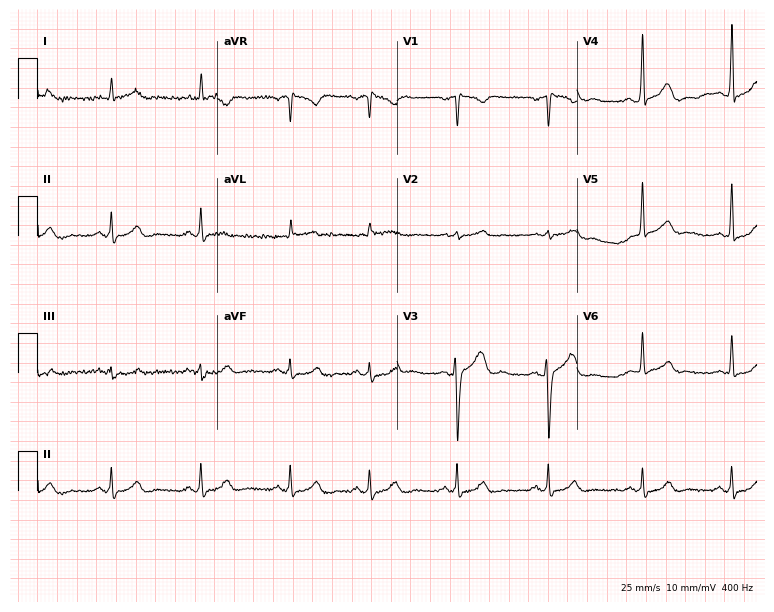
ECG (7.3-second recording at 400 Hz) — a 49-year-old man. Screened for six findings — first-degree AV block, right bundle branch block, left bundle branch block, sinus bradycardia, atrial fibrillation, sinus tachycardia — none is recorded.